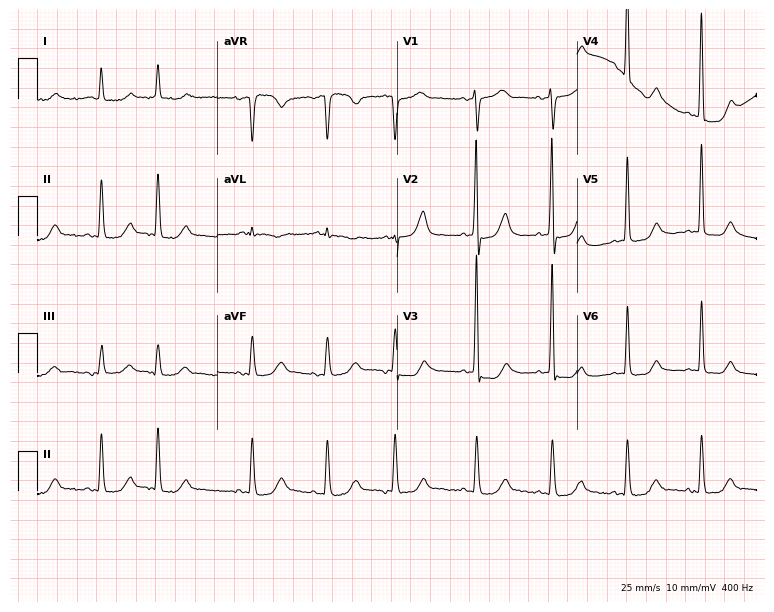
Electrocardiogram (7.3-second recording at 400 Hz), a female patient, 80 years old. Of the six screened findings (first-degree AV block, right bundle branch block (RBBB), left bundle branch block (LBBB), sinus bradycardia, atrial fibrillation (AF), sinus tachycardia), none is recorded. Other findings, if any, are not listed.